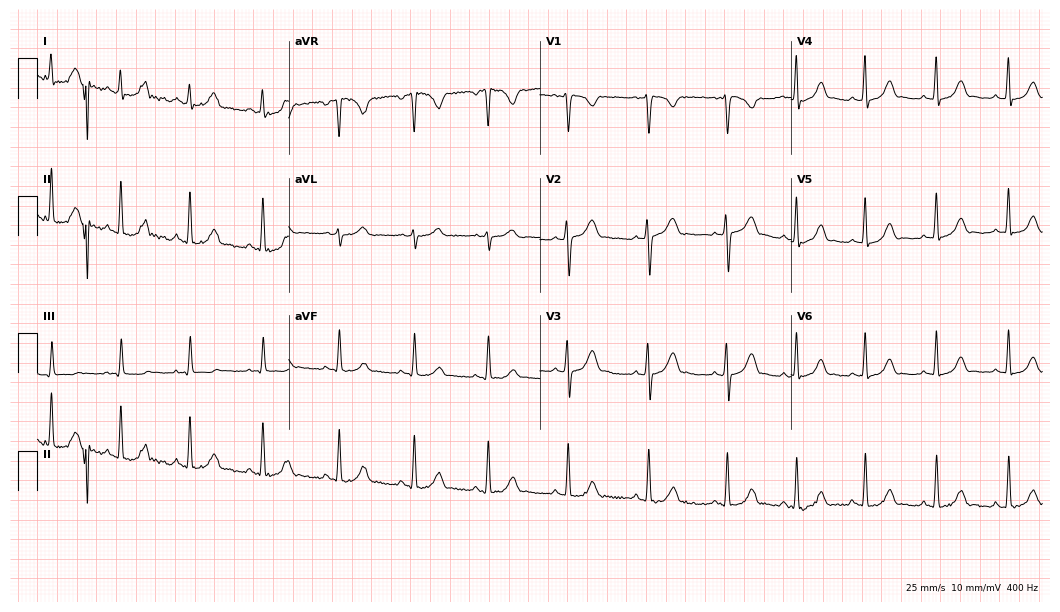
ECG (10.2-second recording at 400 Hz) — a 17-year-old female patient. Labelled as a normal ECG.